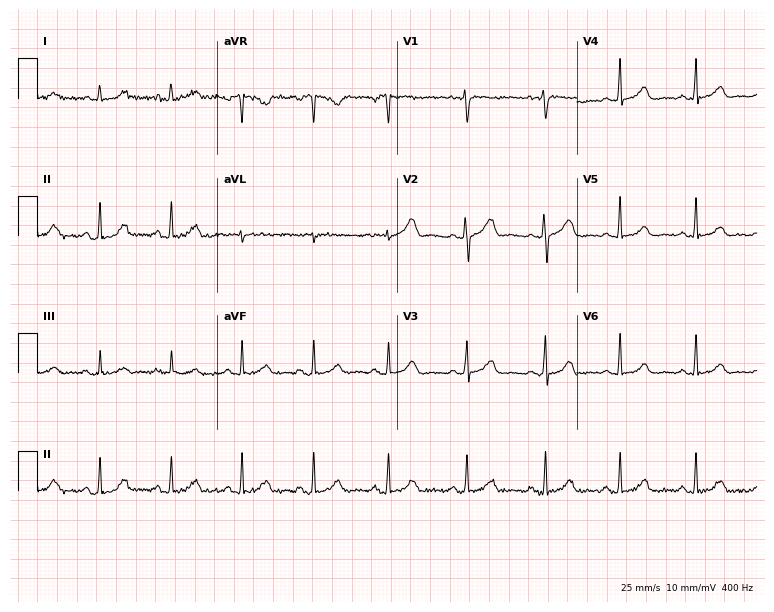
12-lead ECG (7.3-second recording at 400 Hz) from a 34-year-old female patient. Screened for six findings — first-degree AV block, right bundle branch block, left bundle branch block, sinus bradycardia, atrial fibrillation, sinus tachycardia — none is recorded. Other findings, if any, are not listed.